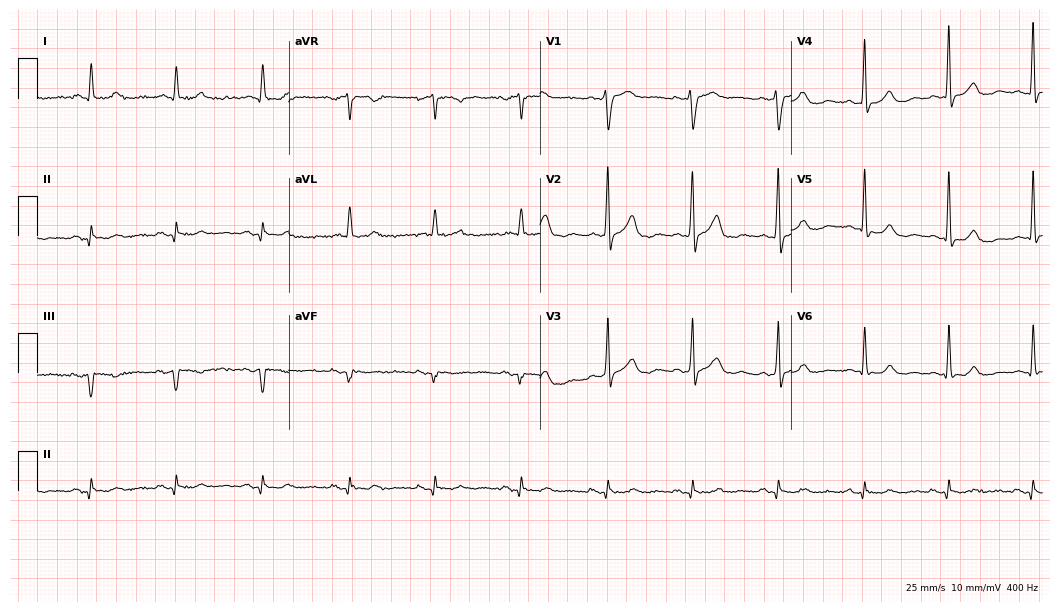
ECG (10.2-second recording at 400 Hz) — a male, 68 years old. Screened for six findings — first-degree AV block, right bundle branch block, left bundle branch block, sinus bradycardia, atrial fibrillation, sinus tachycardia — none is recorded. Only these six findings were labelled.